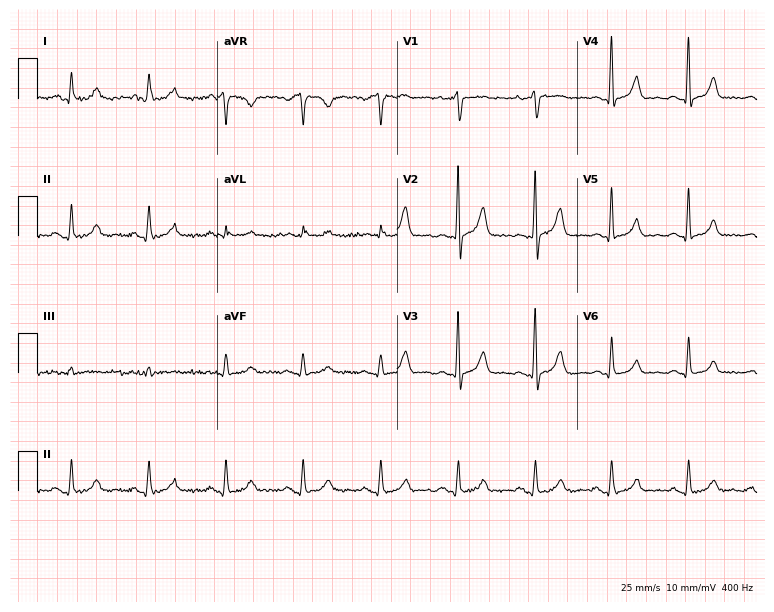
12-lead ECG from a 78-year-old male patient. Recorded interpretation: within normal limits.